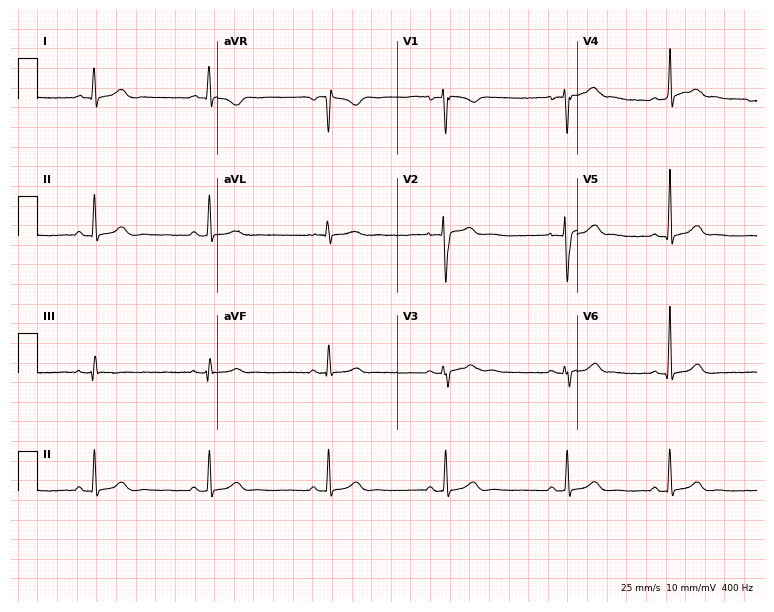
ECG (7.3-second recording at 400 Hz) — a female, 36 years old. Labelled as a normal ECG.